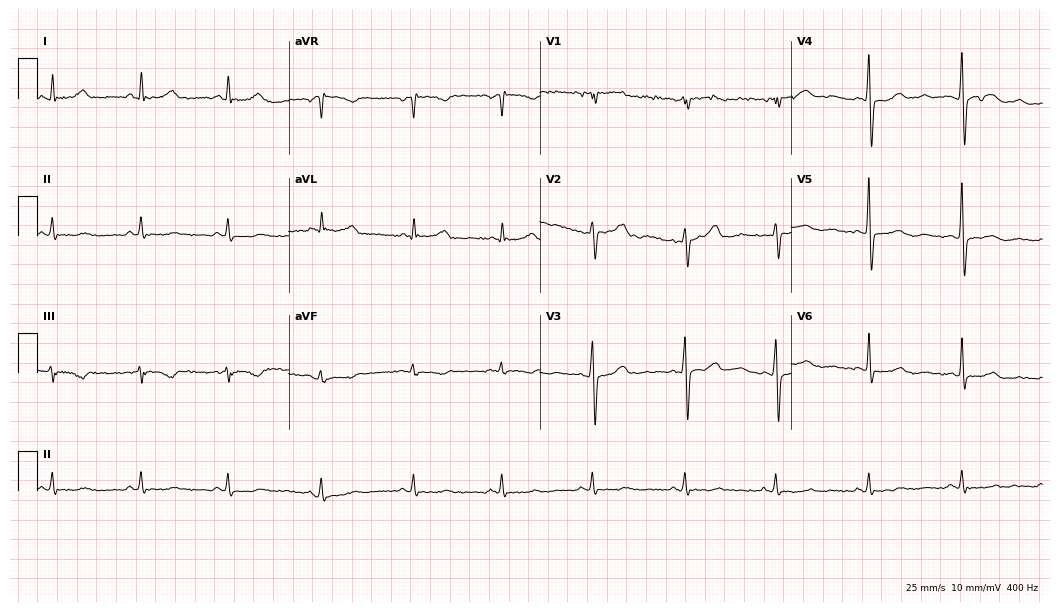
Electrocardiogram, a 72-year-old woman. Of the six screened findings (first-degree AV block, right bundle branch block, left bundle branch block, sinus bradycardia, atrial fibrillation, sinus tachycardia), none is recorded.